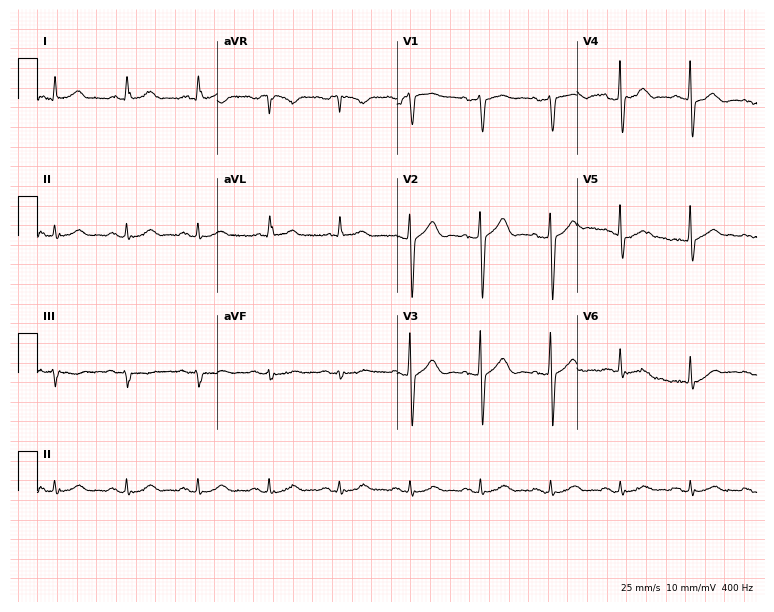
12-lead ECG from a 73-year-old male. Recorded interpretation: within normal limits.